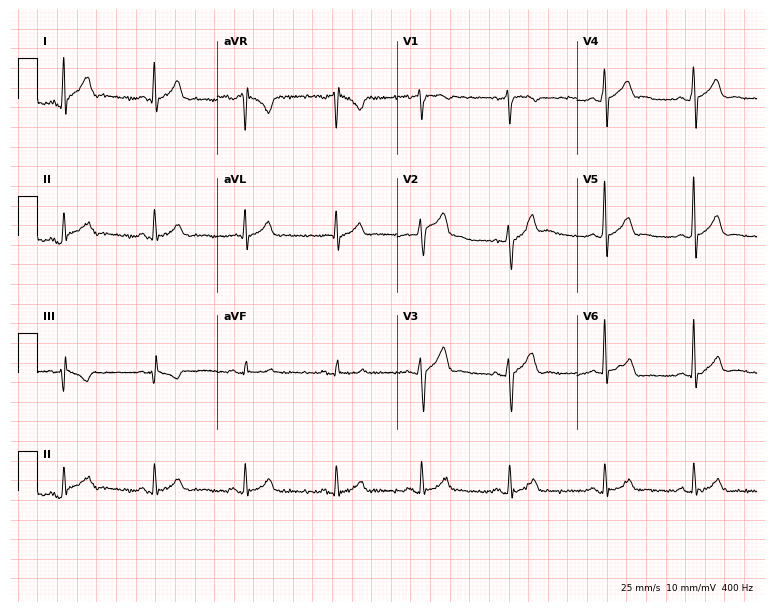
Electrocardiogram (7.3-second recording at 400 Hz), a man, 29 years old. Overall reading on record: normal ECG.